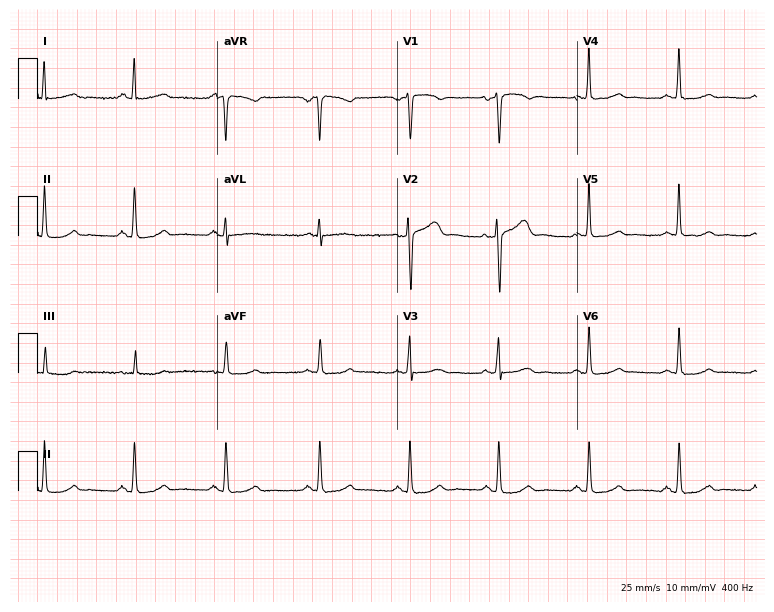
Resting 12-lead electrocardiogram. Patient: a woman, 54 years old. None of these six findings is recorded: first-degree AV block, right bundle branch block (RBBB), left bundle branch block (LBBB), sinus bradycardia, atrial fibrillation (AF), sinus tachycardia.